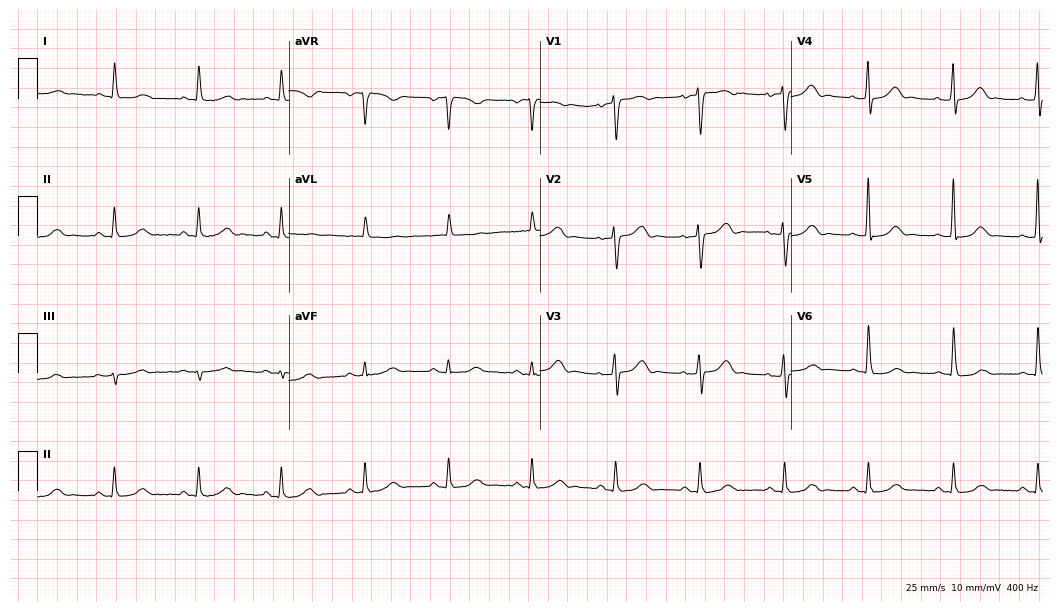
Standard 12-lead ECG recorded from an 82-year-old woman. None of these six findings is recorded: first-degree AV block, right bundle branch block, left bundle branch block, sinus bradycardia, atrial fibrillation, sinus tachycardia.